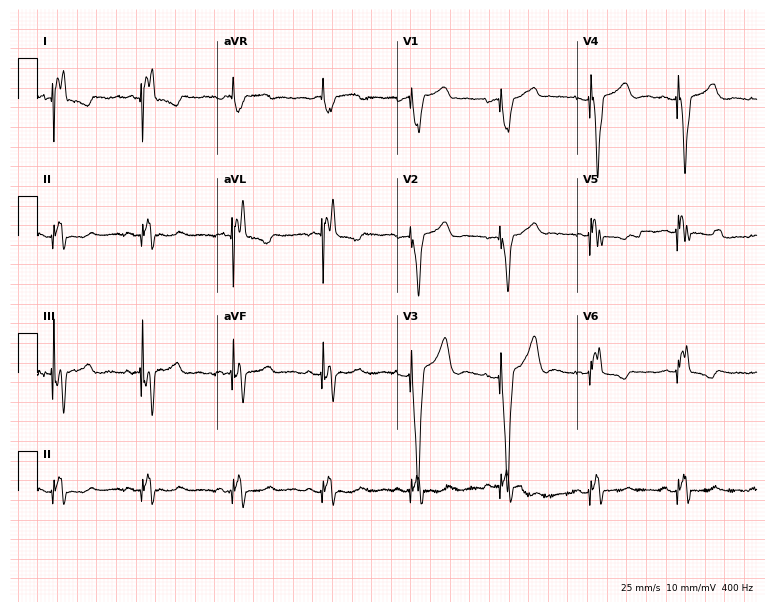
ECG (7.3-second recording at 400 Hz) — a female patient, 81 years old. Screened for six findings — first-degree AV block, right bundle branch block, left bundle branch block, sinus bradycardia, atrial fibrillation, sinus tachycardia — none is recorded. Only these six findings were labelled.